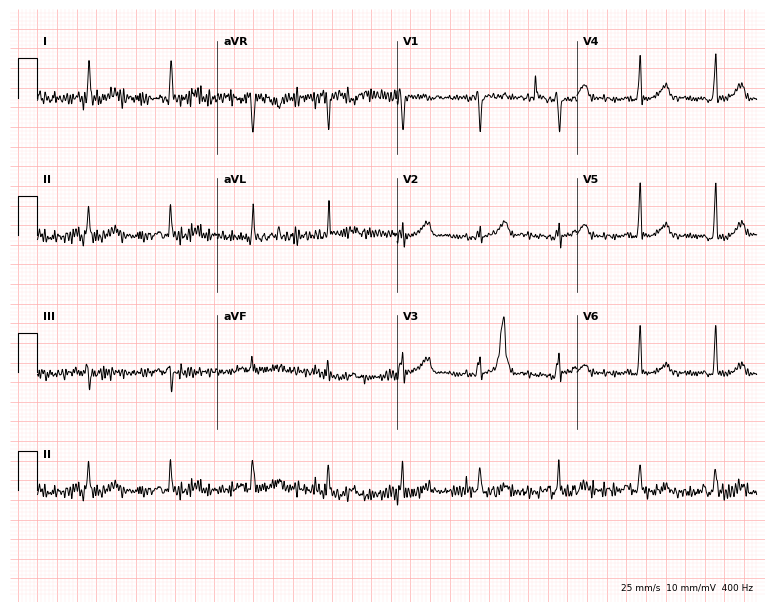
ECG — a woman, 39 years old. Screened for six findings — first-degree AV block, right bundle branch block (RBBB), left bundle branch block (LBBB), sinus bradycardia, atrial fibrillation (AF), sinus tachycardia — none is recorded. Other findings, if any, are not listed.